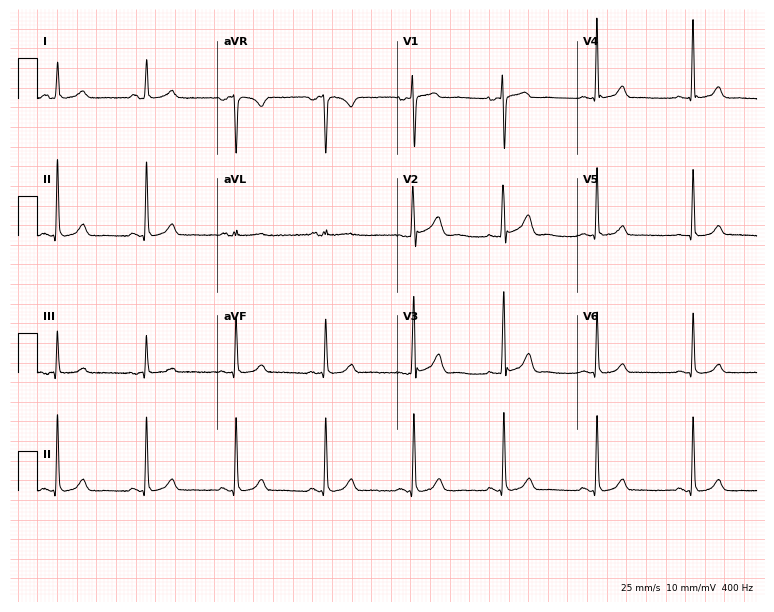
Electrocardiogram, a 42-year-old female patient. Of the six screened findings (first-degree AV block, right bundle branch block, left bundle branch block, sinus bradycardia, atrial fibrillation, sinus tachycardia), none is recorded.